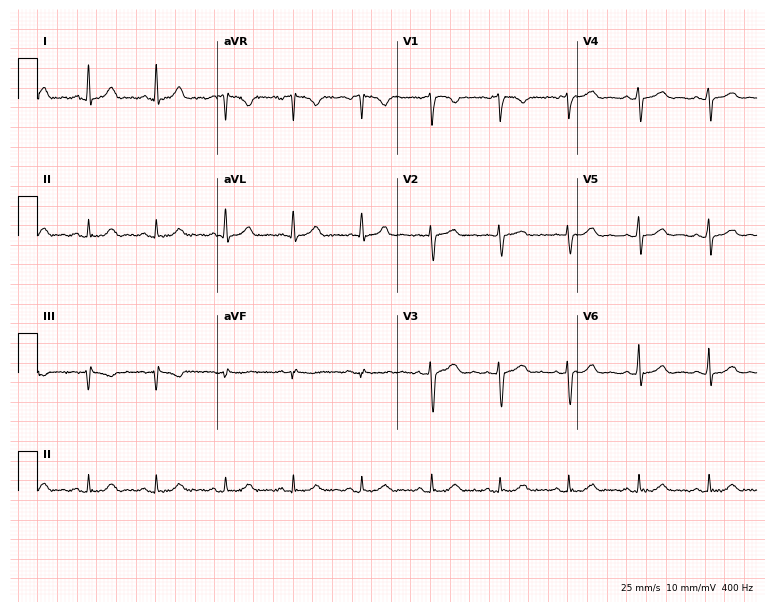
Resting 12-lead electrocardiogram (7.3-second recording at 400 Hz). Patient: a 38-year-old man. Read as a normal ECG.